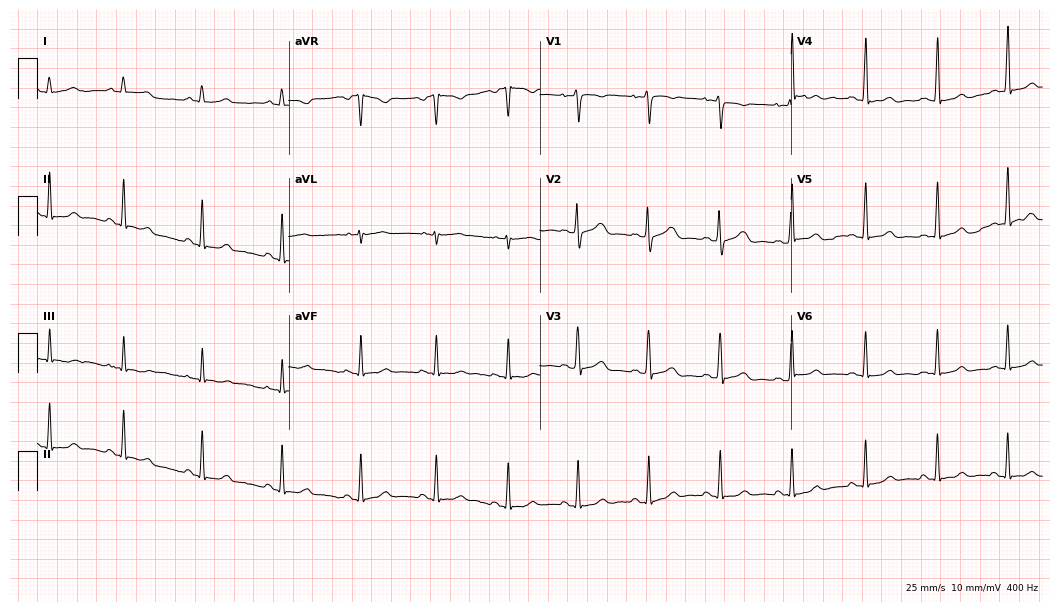
Electrocardiogram, a 27-year-old woman. Overall reading on record: normal ECG.